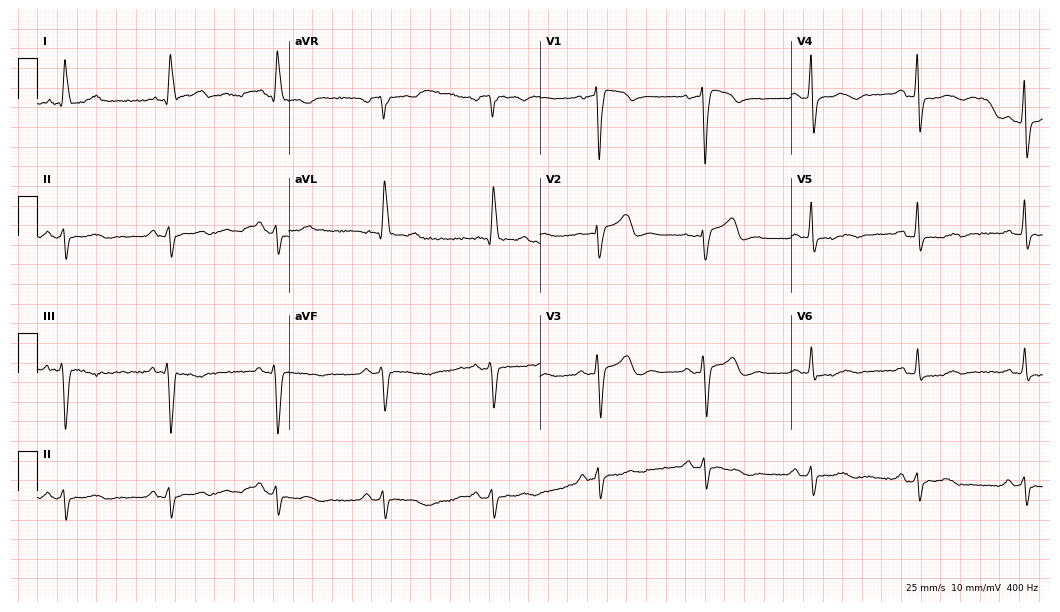
Resting 12-lead electrocardiogram. Patient: a 69-year-old male. The tracing shows left bundle branch block.